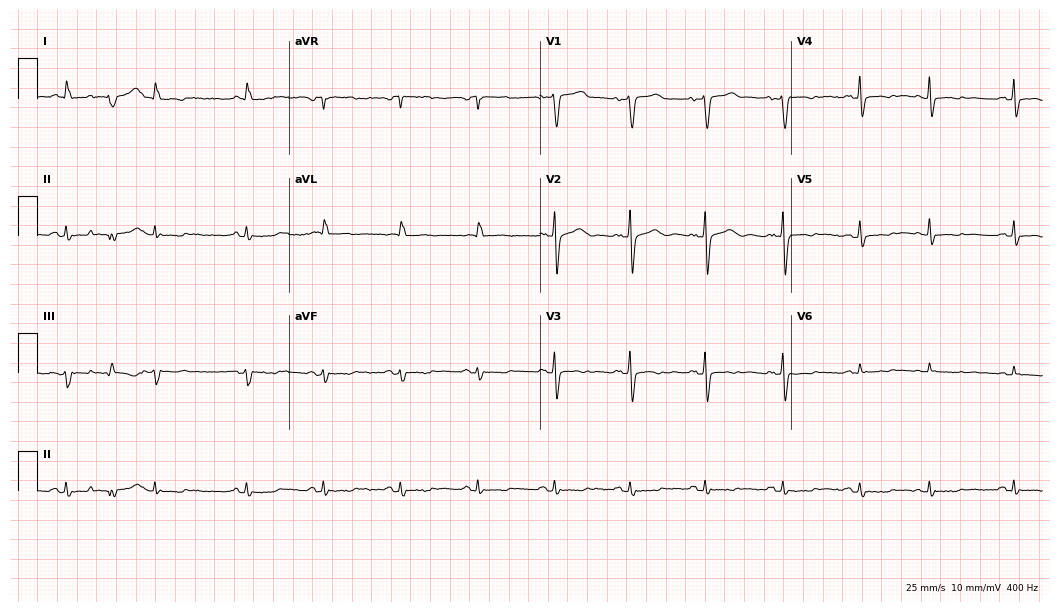
Standard 12-lead ECG recorded from a woman, 81 years old (10.2-second recording at 400 Hz). None of these six findings is recorded: first-degree AV block, right bundle branch block (RBBB), left bundle branch block (LBBB), sinus bradycardia, atrial fibrillation (AF), sinus tachycardia.